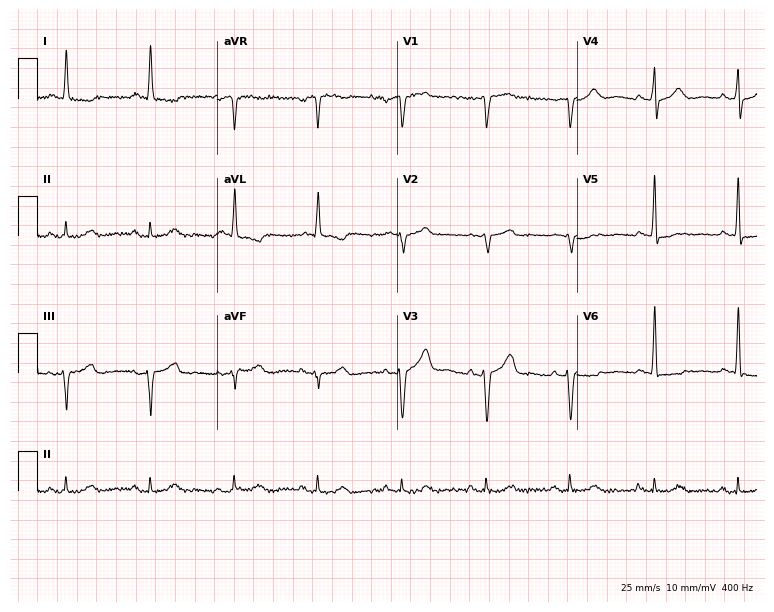
12-lead ECG from a 79-year-old female patient. No first-degree AV block, right bundle branch block, left bundle branch block, sinus bradycardia, atrial fibrillation or sinus tachycardia recorded for this tracing. Only these six findings were labelled.